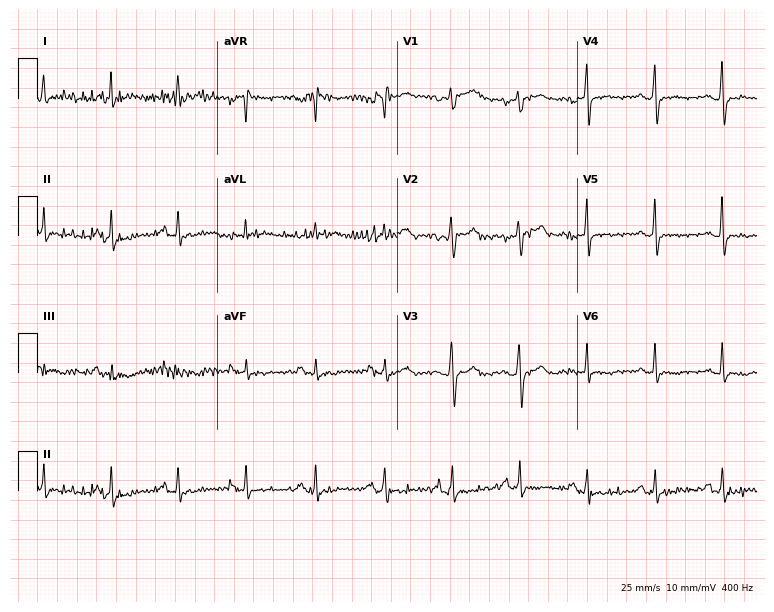
ECG (7.3-second recording at 400 Hz) — a 52-year-old female. Screened for six findings — first-degree AV block, right bundle branch block, left bundle branch block, sinus bradycardia, atrial fibrillation, sinus tachycardia — none is recorded. Only these six findings were labelled.